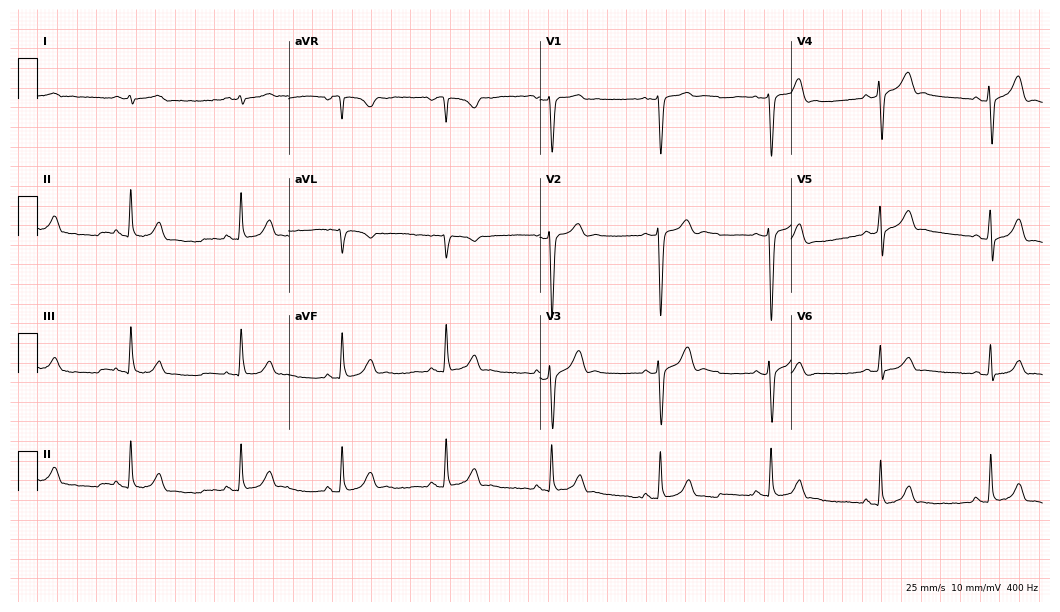
Standard 12-lead ECG recorded from a male patient, 31 years old. Read as a normal ECG.